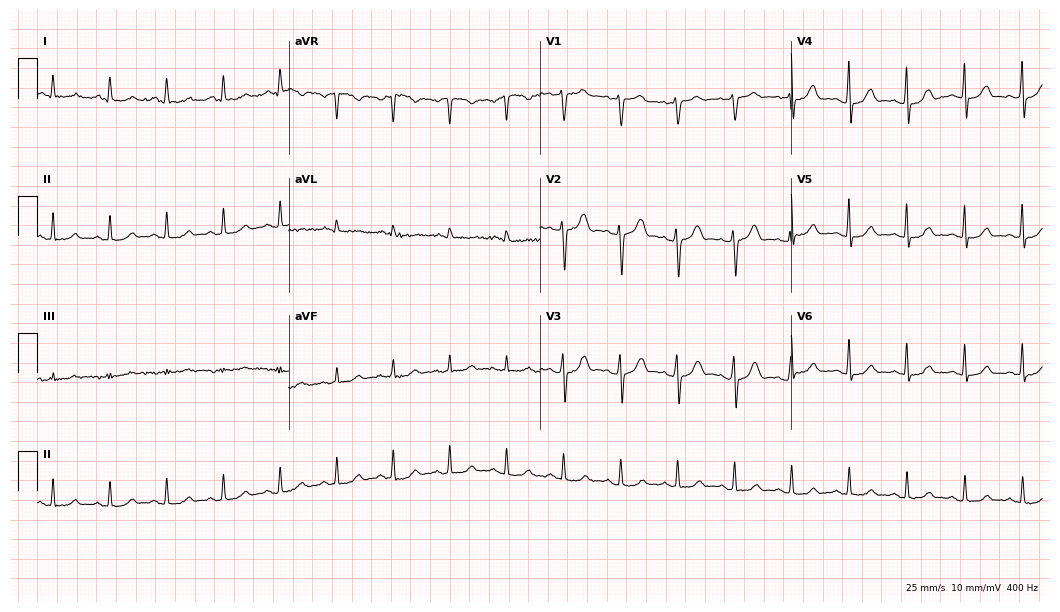
12-lead ECG from a 54-year-old woman. Shows sinus tachycardia (a sinus rate of 100 beats per minute or more).